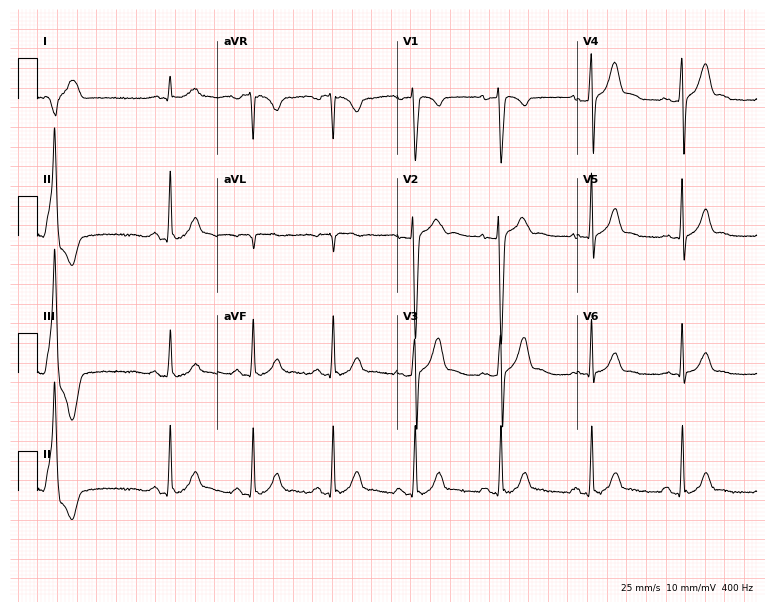
Resting 12-lead electrocardiogram (7.3-second recording at 400 Hz). Patient: a 34-year-old male. None of these six findings is recorded: first-degree AV block, right bundle branch block, left bundle branch block, sinus bradycardia, atrial fibrillation, sinus tachycardia.